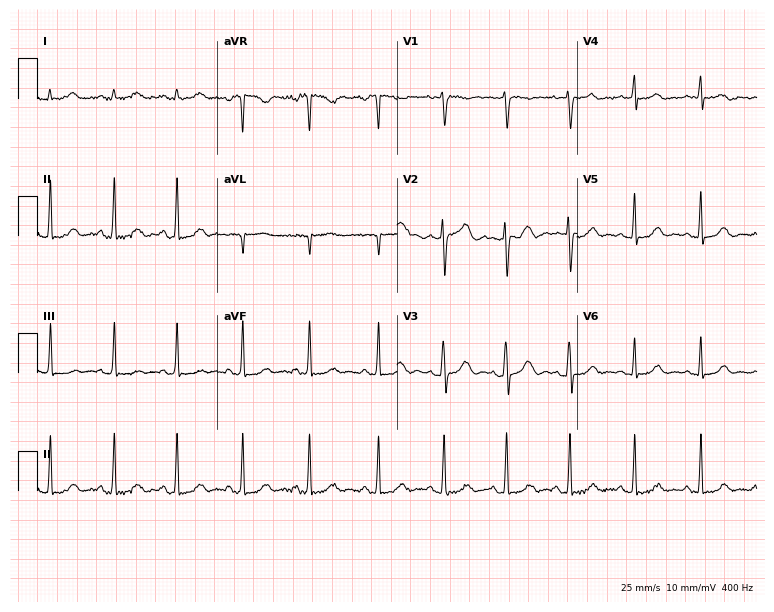
Electrocardiogram, an 18-year-old female. Overall reading on record: normal ECG.